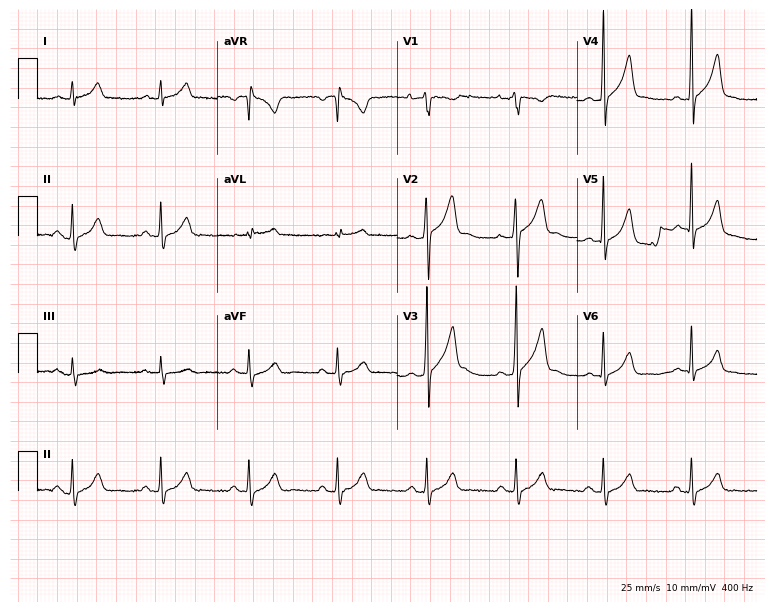
12-lead ECG from a 28-year-old man. No first-degree AV block, right bundle branch block (RBBB), left bundle branch block (LBBB), sinus bradycardia, atrial fibrillation (AF) or sinus tachycardia recorded for this tracing.